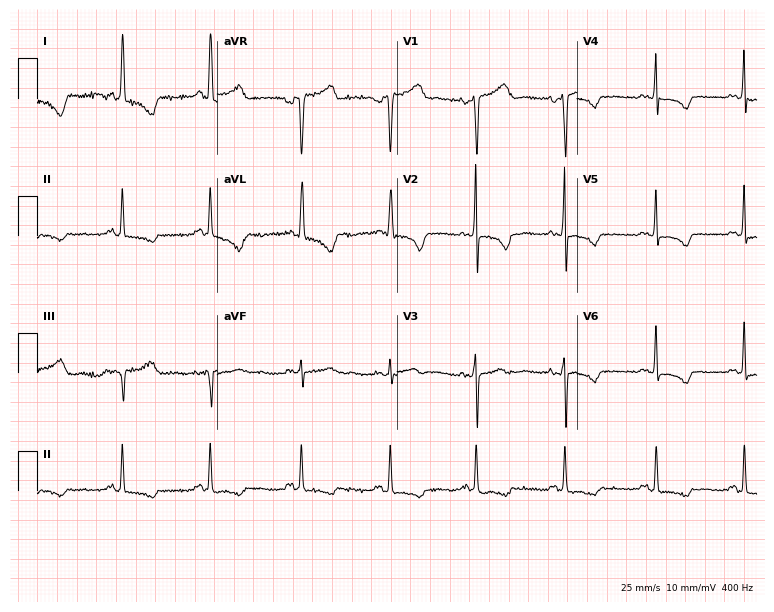
Electrocardiogram (7.3-second recording at 400 Hz), a 57-year-old woman. Of the six screened findings (first-degree AV block, right bundle branch block, left bundle branch block, sinus bradycardia, atrial fibrillation, sinus tachycardia), none is recorded. Only these six findings were labelled.